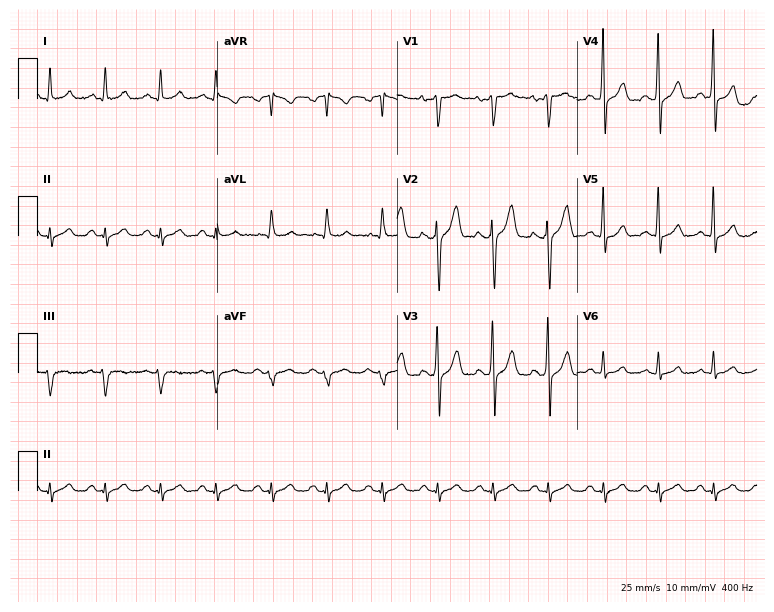
12-lead ECG from a male, 51 years old. Findings include sinus tachycardia (a sinus rate of 100 beats per minute or more).